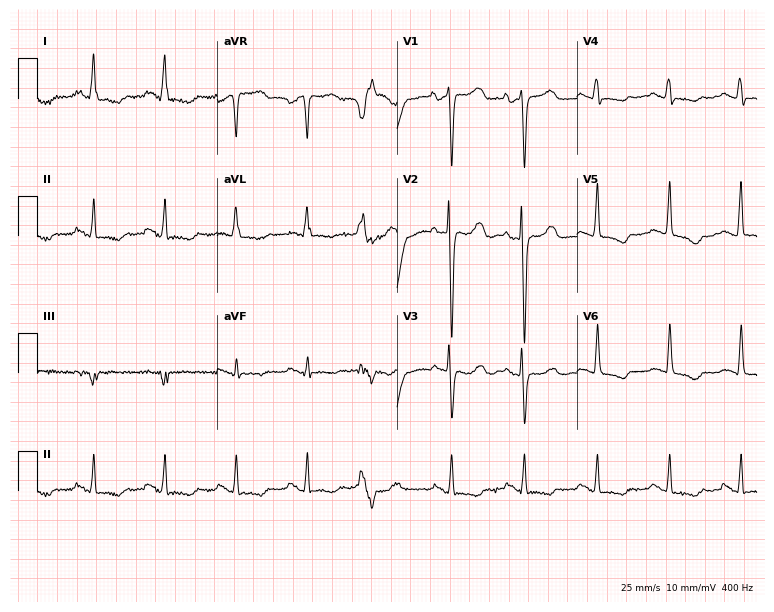
ECG (7.3-second recording at 400 Hz) — a female, 51 years old. Screened for six findings — first-degree AV block, right bundle branch block (RBBB), left bundle branch block (LBBB), sinus bradycardia, atrial fibrillation (AF), sinus tachycardia — none is recorded.